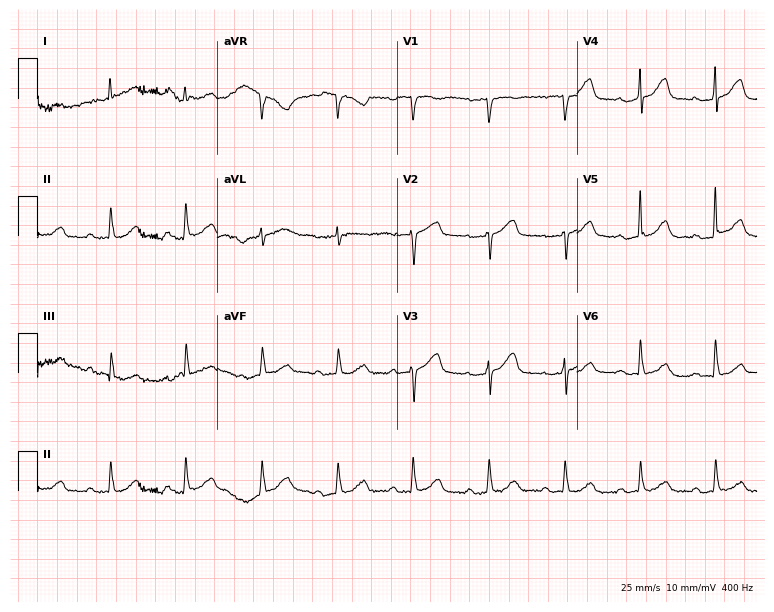
Electrocardiogram (7.3-second recording at 400 Hz), a woman, 81 years old. Of the six screened findings (first-degree AV block, right bundle branch block, left bundle branch block, sinus bradycardia, atrial fibrillation, sinus tachycardia), none is recorded.